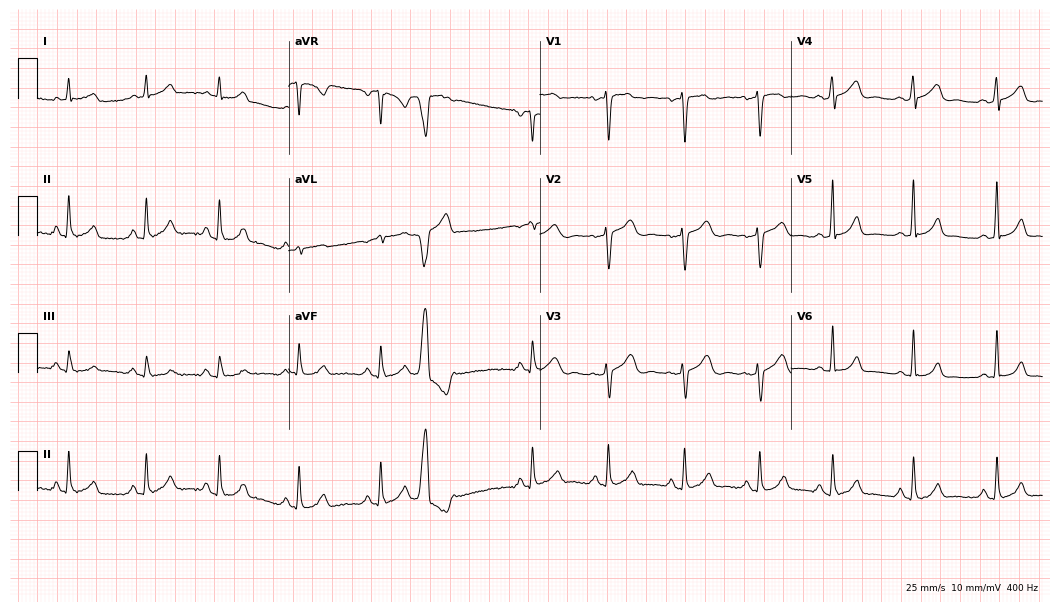
12-lead ECG from a female patient, 40 years old (10.2-second recording at 400 Hz). No first-degree AV block, right bundle branch block (RBBB), left bundle branch block (LBBB), sinus bradycardia, atrial fibrillation (AF) or sinus tachycardia recorded for this tracing.